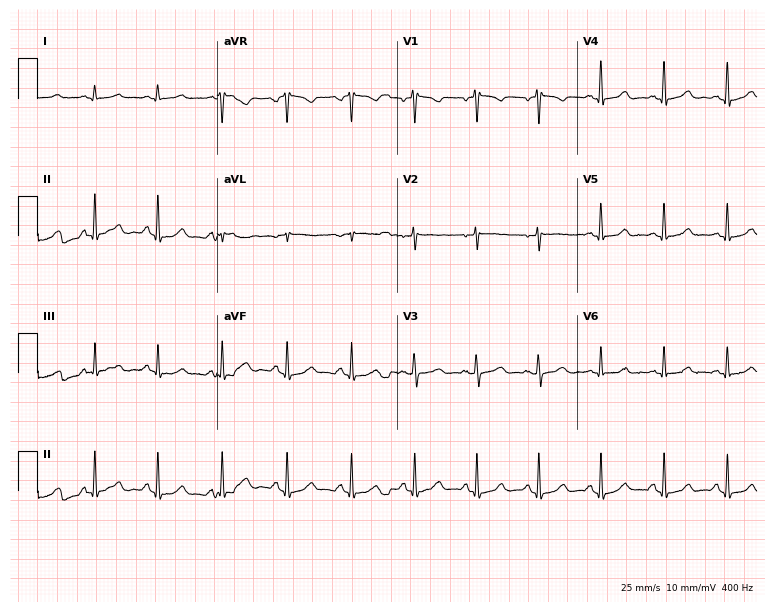
12-lead ECG from a 50-year-old female patient (7.3-second recording at 400 Hz). No first-degree AV block, right bundle branch block, left bundle branch block, sinus bradycardia, atrial fibrillation or sinus tachycardia recorded for this tracing. Other findings, if any, are not listed.